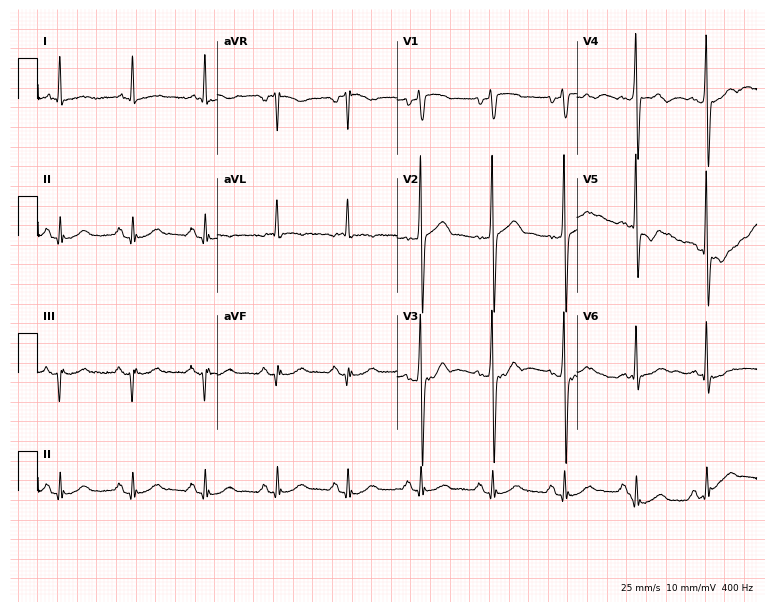
12-lead ECG from a 72-year-old male (7.3-second recording at 400 Hz). No first-degree AV block, right bundle branch block, left bundle branch block, sinus bradycardia, atrial fibrillation or sinus tachycardia recorded for this tracing. Other findings, if any, are not listed.